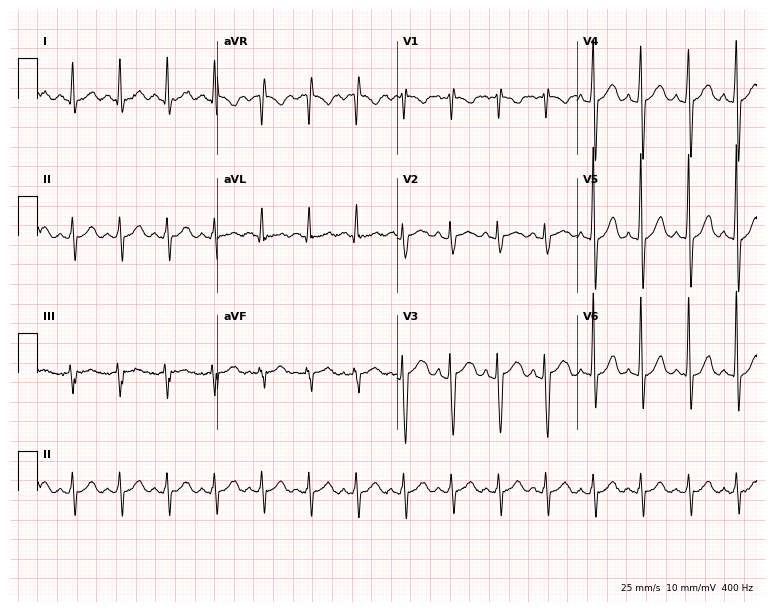
Electrocardiogram, a 25-year-old female. Interpretation includes sinus tachycardia (a sinus rate of 100 beats per minute or more).